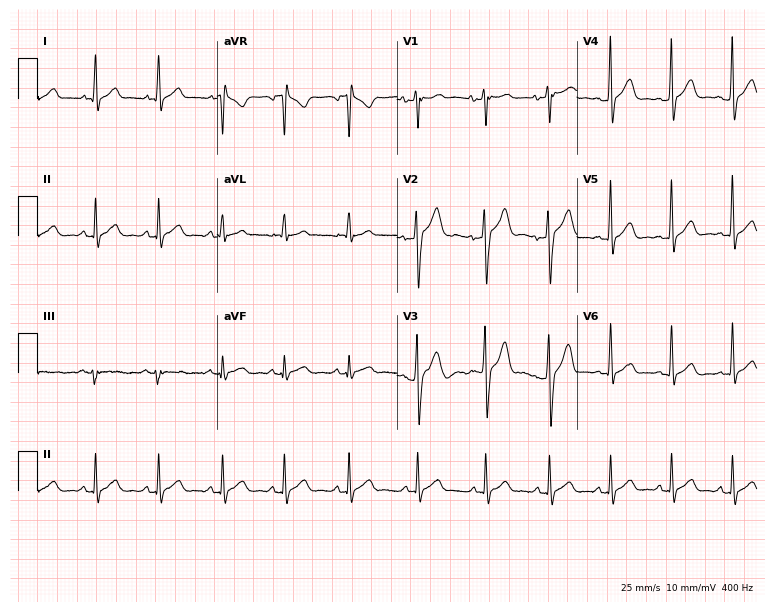
Electrocardiogram (7.3-second recording at 400 Hz), a 21-year-old male patient. Overall reading on record: normal ECG.